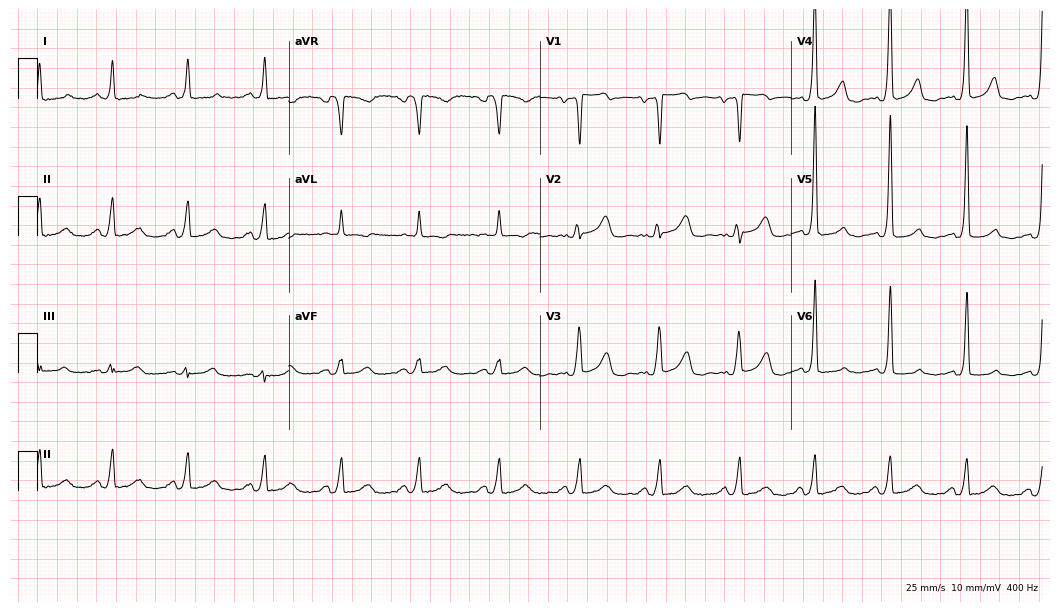
Electrocardiogram, a 39-year-old woman. Of the six screened findings (first-degree AV block, right bundle branch block, left bundle branch block, sinus bradycardia, atrial fibrillation, sinus tachycardia), none is recorded.